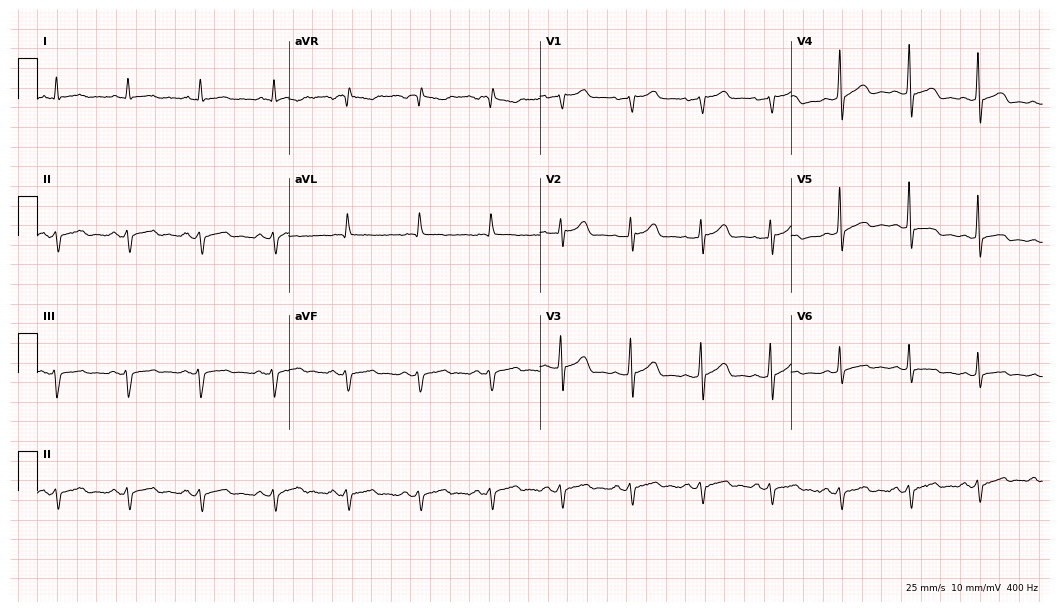
12-lead ECG from a 74-year-old man. No first-degree AV block, right bundle branch block, left bundle branch block, sinus bradycardia, atrial fibrillation or sinus tachycardia recorded for this tracing. Other findings, if any, are not listed.